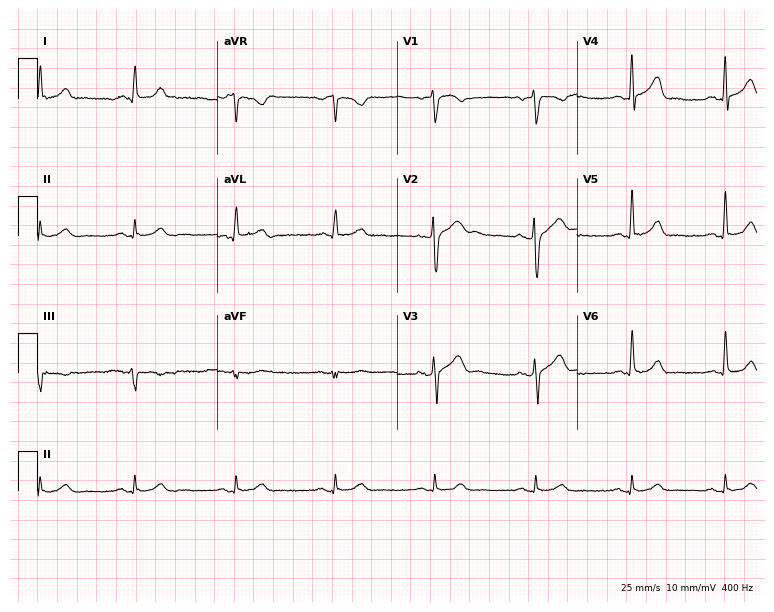
ECG — a male, 51 years old. Labelled as a normal ECG.